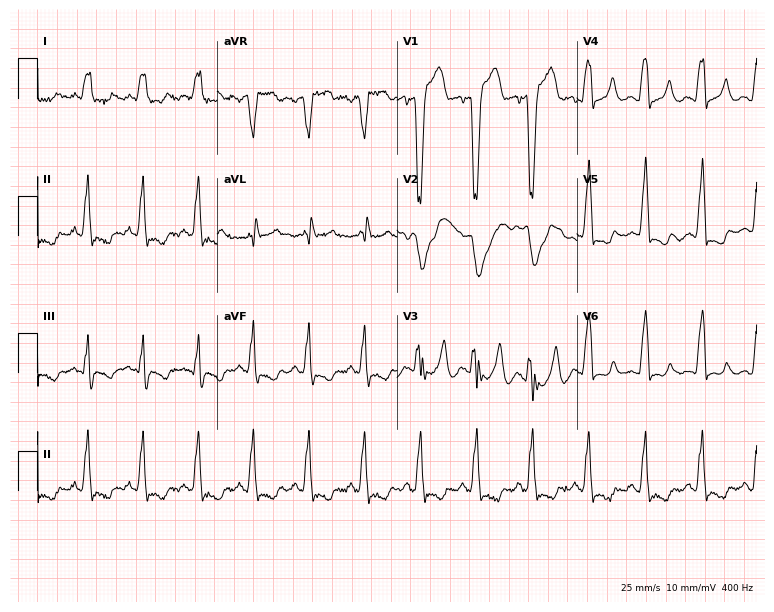
12-lead ECG from a male patient, 64 years old (7.3-second recording at 400 Hz). Shows left bundle branch block (LBBB).